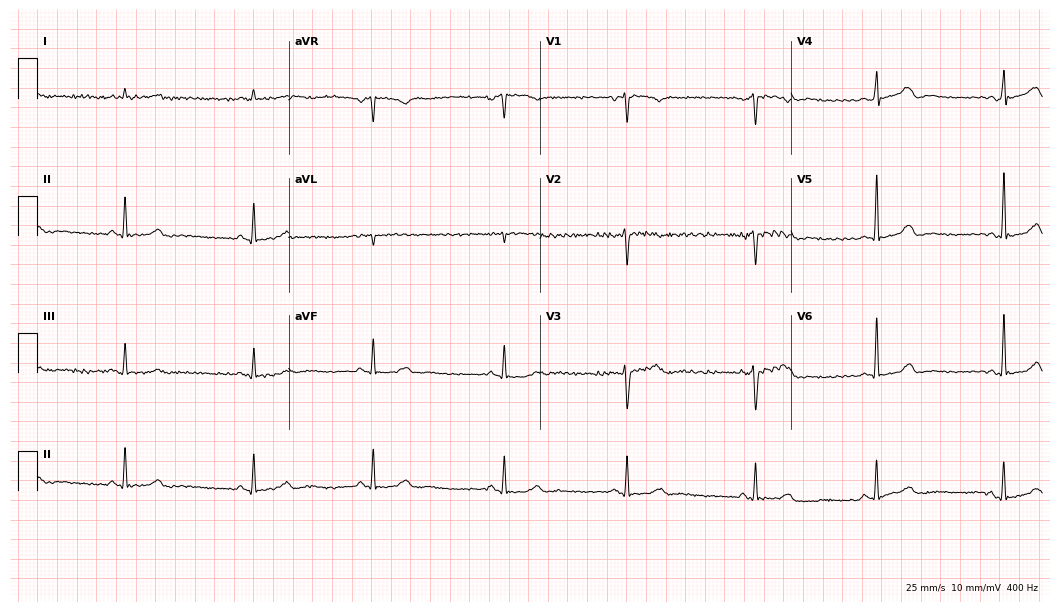
Electrocardiogram, a 49-year-old woman. Interpretation includes sinus bradycardia (a sinus rate of 50 beats per minute or less).